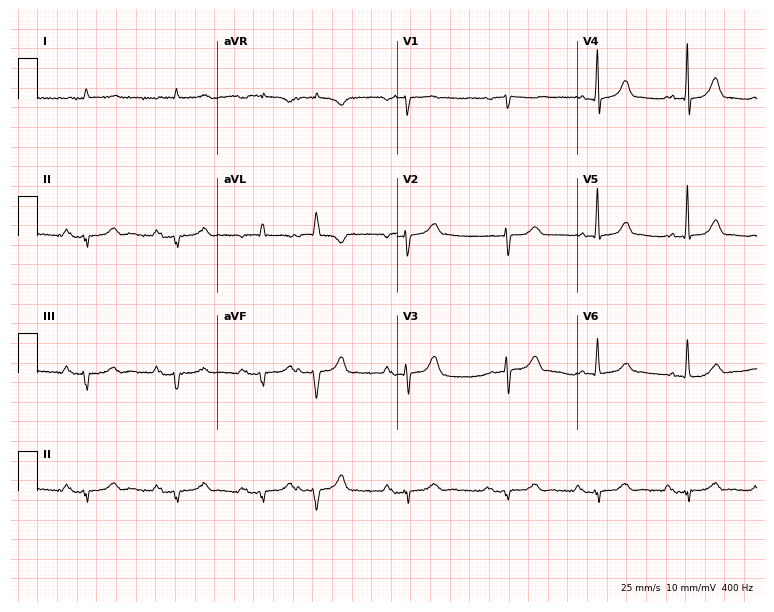
12-lead ECG from a 79-year-old man (7.3-second recording at 400 Hz). No first-degree AV block, right bundle branch block, left bundle branch block, sinus bradycardia, atrial fibrillation or sinus tachycardia recorded for this tracing. Only these six findings were labelled.